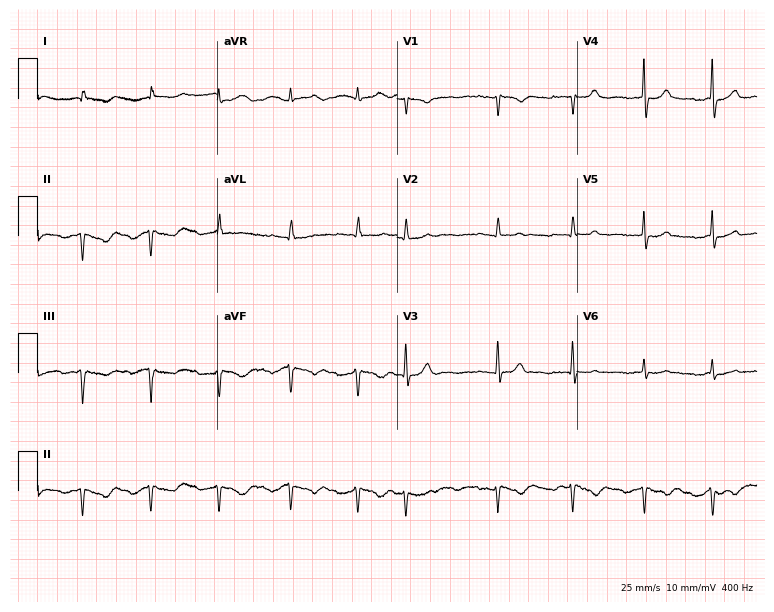
12-lead ECG from a man, 75 years old. Screened for six findings — first-degree AV block, right bundle branch block, left bundle branch block, sinus bradycardia, atrial fibrillation, sinus tachycardia — none is recorded.